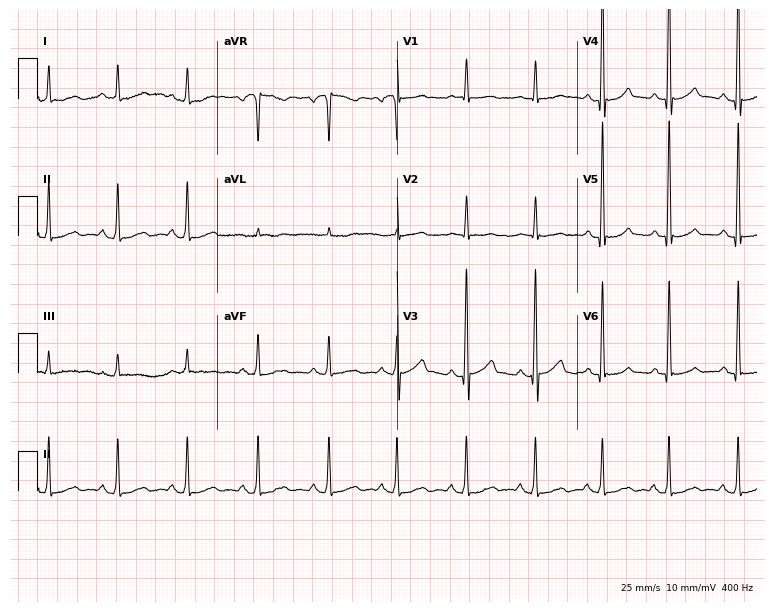
Standard 12-lead ECG recorded from a 27-year-old man (7.3-second recording at 400 Hz). None of these six findings is recorded: first-degree AV block, right bundle branch block (RBBB), left bundle branch block (LBBB), sinus bradycardia, atrial fibrillation (AF), sinus tachycardia.